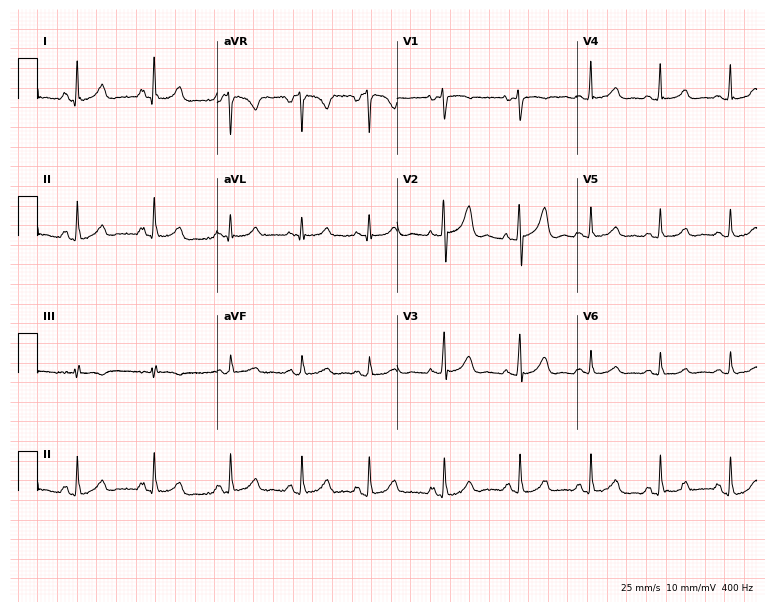
12-lead ECG (7.3-second recording at 400 Hz) from a woman, 42 years old. Labelled as a normal ECG.